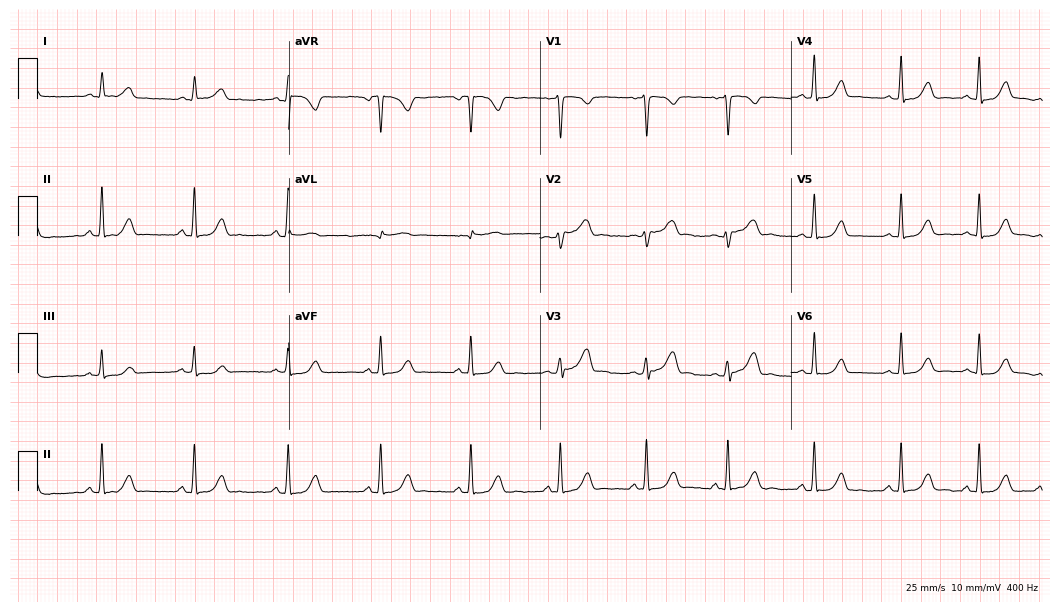
12-lead ECG from a 38-year-old woman (10.2-second recording at 400 Hz). Recorded interpretation: within normal limits.